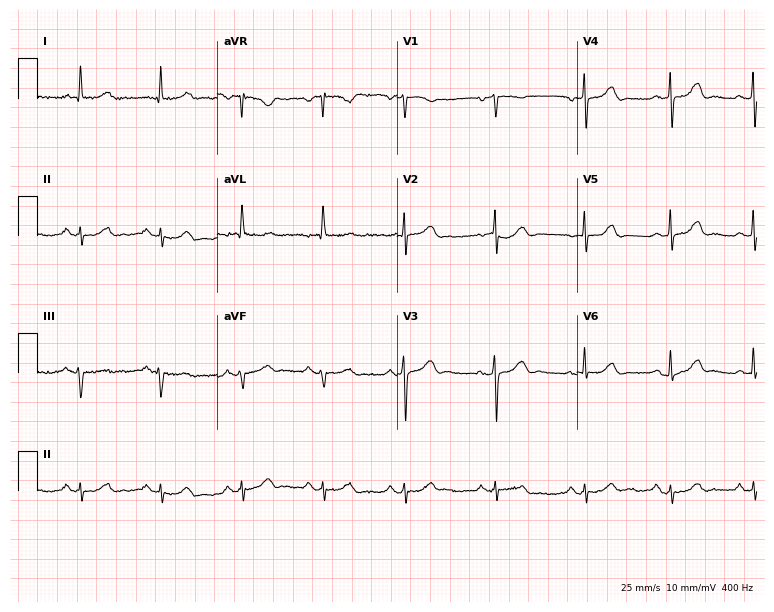
12-lead ECG (7.3-second recording at 400 Hz) from an 82-year-old female. Labelled as a normal ECG.